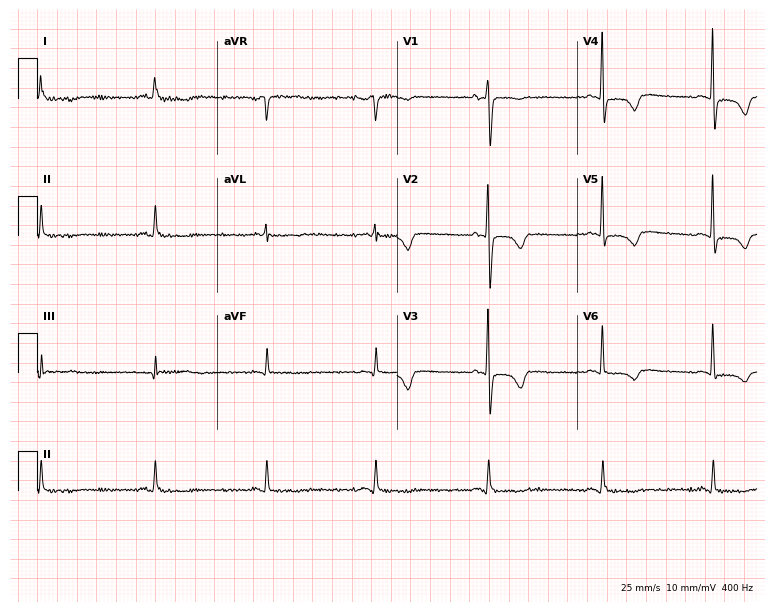
ECG (7.3-second recording at 400 Hz) — a 76-year-old woman. Screened for six findings — first-degree AV block, right bundle branch block (RBBB), left bundle branch block (LBBB), sinus bradycardia, atrial fibrillation (AF), sinus tachycardia — none is recorded. Other findings, if any, are not listed.